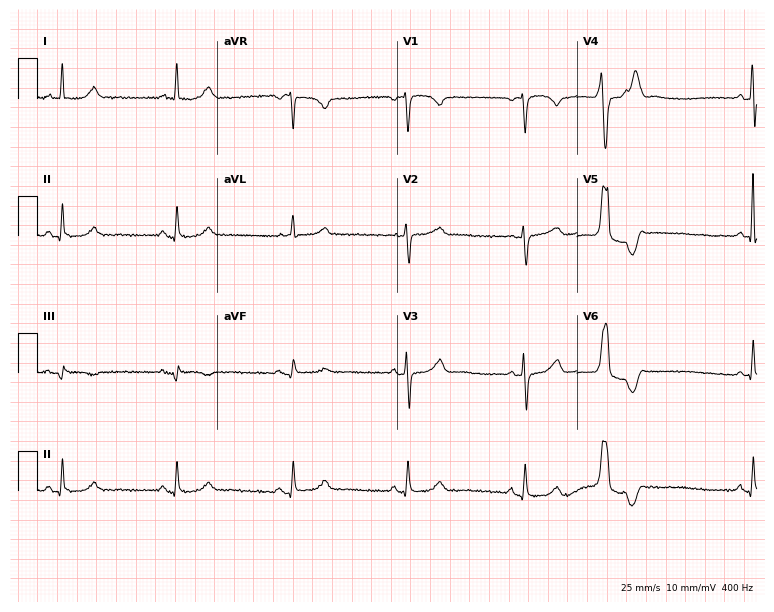
ECG — a female patient, 66 years old. Screened for six findings — first-degree AV block, right bundle branch block (RBBB), left bundle branch block (LBBB), sinus bradycardia, atrial fibrillation (AF), sinus tachycardia — none is recorded. Only these six findings were labelled.